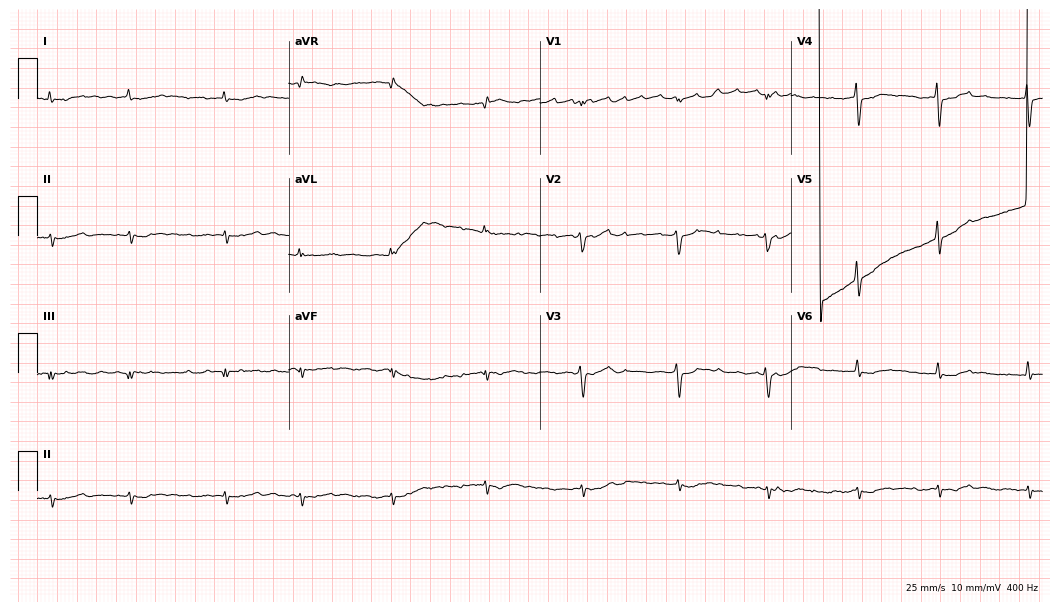
12-lead ECG (10.2-second recording at 400 Hz) from a 69-year-old female. Findings include atrial fibrillation.